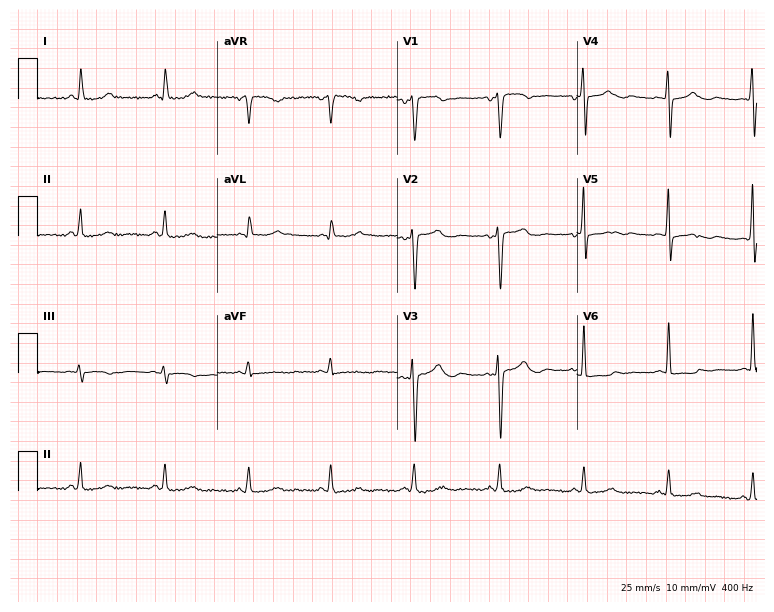
12-lead ECG from a 65-year-old female (7.3-second recording at 400 Hz). No first-degree AV block, right bundle branch block (RBBB), left bundle branch block (LBBB), sinus bradycardia, atrial fibrillation (AF) or sinus tachycardia recorded for this tracing.